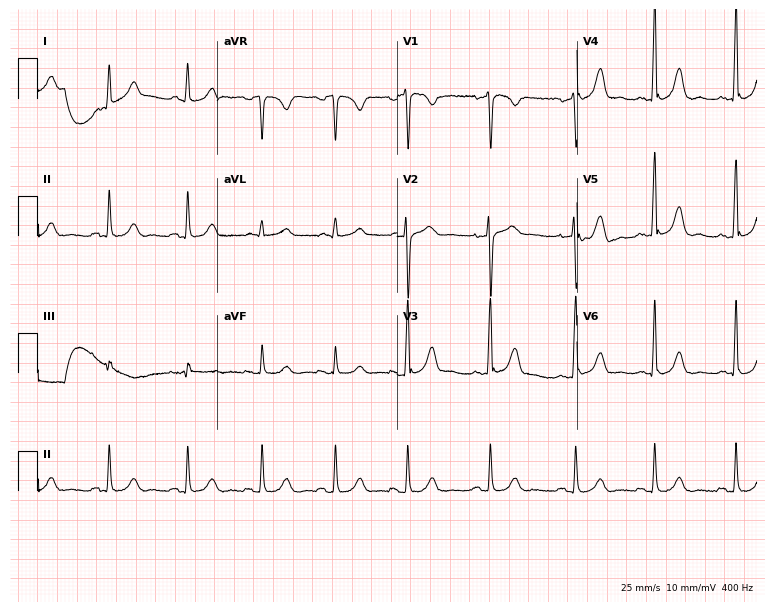
12-lead ECG from a 38-year-old man. No first-degree AV block, right bundle branch block, left bundle branch block, sinus bradycardia, atrial fibrillation or sinus tachycardia recorded for this tracing. Other findings, if any, are not listed.